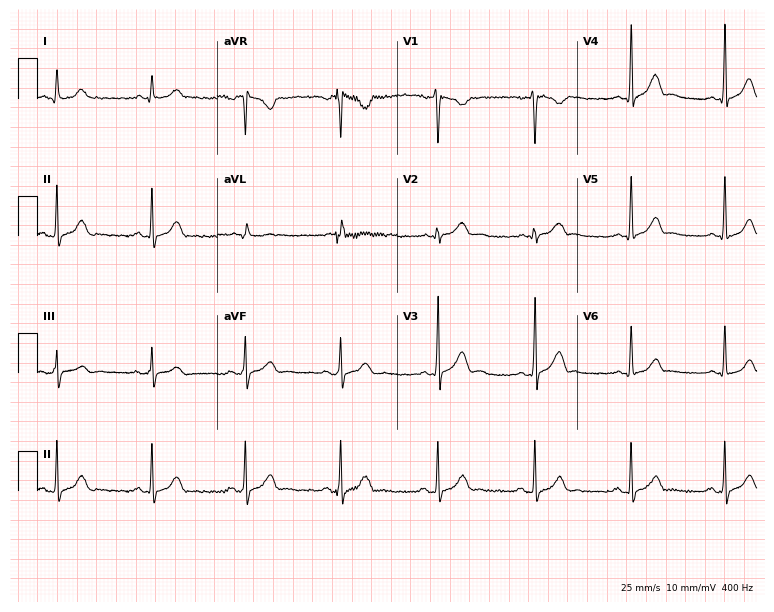
Resting 12-lead electrocardiogram (7.3-second recording at 400 Hz). Patient: a 39-year-old male. Read as a normal ECG.